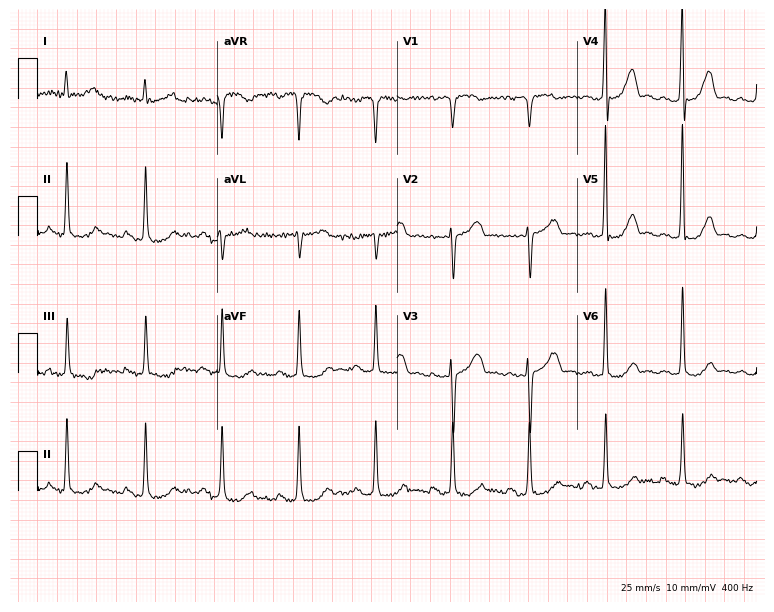
Standard 12-lead ECG recorded from an 81-year-old female patient (7.3-second recording at 400 Hz). The tracing shows first-degree AV block.